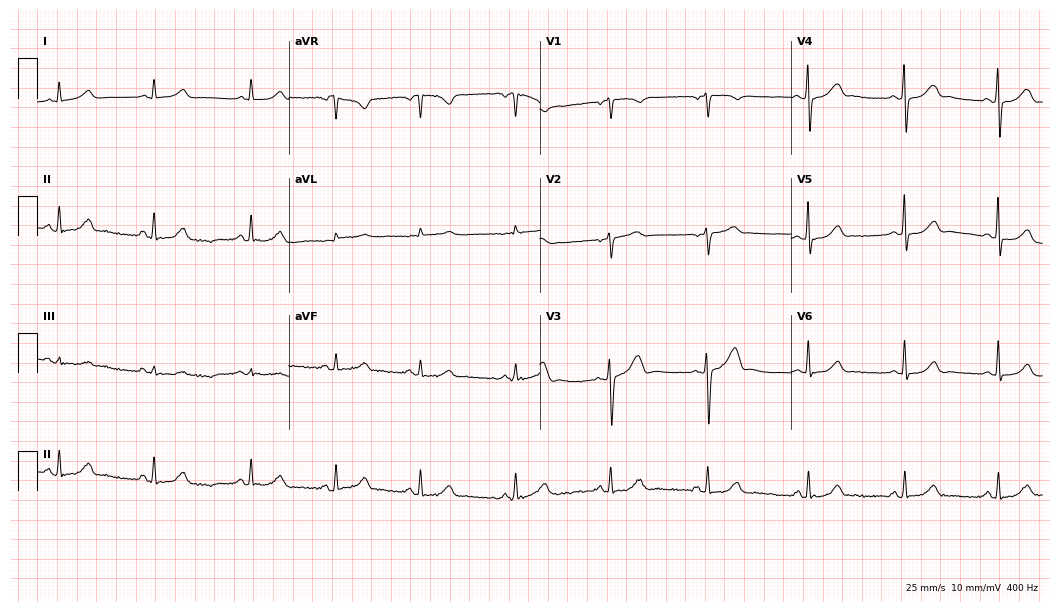
Electrocardiogram (10.2-second recording at 400 Hz), a 47-year-old female patient. Overall reading on record: normal ECG.